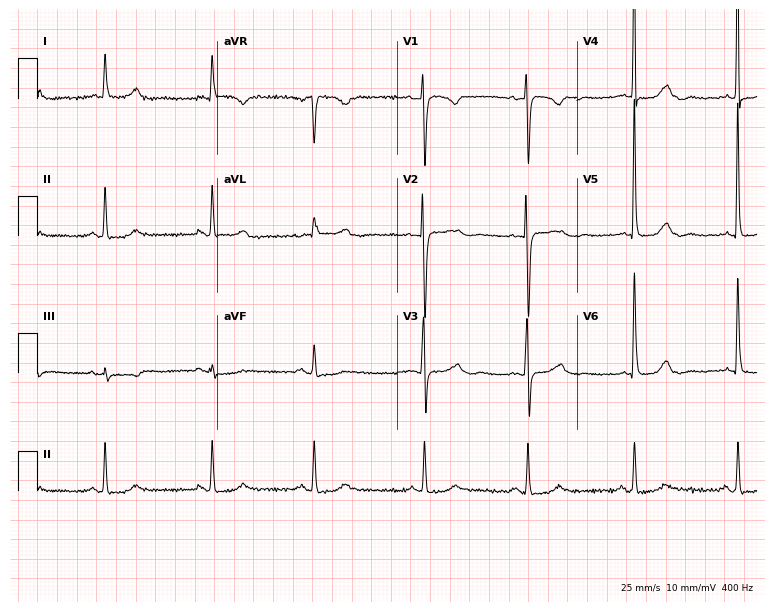
12-lead ECG (7.3-second recording at 400 Hz) from a 61-year-old female. Screened for six findings — first-degree AV block, right bundle branch block, left bundle branch block, sinus bradycardia, atrial fibrillation, sinus tachycardia — none is recorded. Only these six findings were labelled.